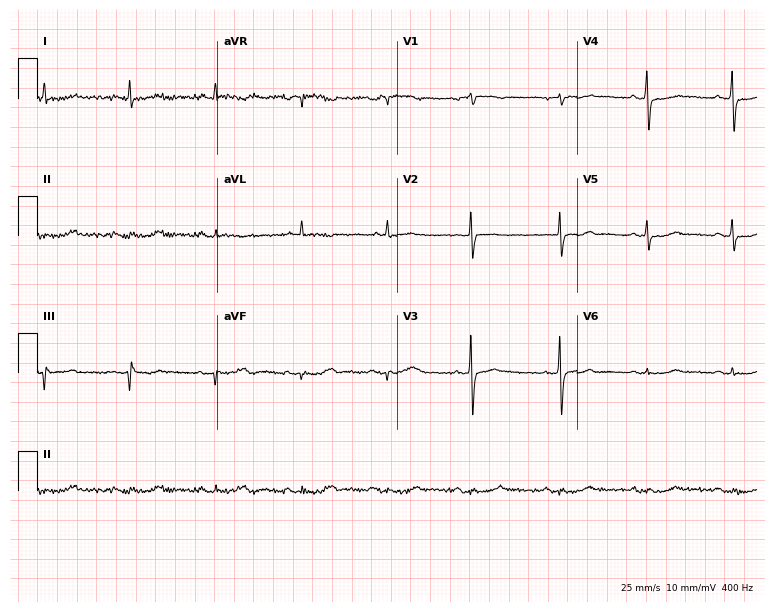
ECG — a female, 78 years old. Screened for six findings — first-degree AV block, right bundle branch block, left bundle branch block, sinus bradycardia, atrial fibrillation, sinus tachycardia — none is recorded. Other findings, if any, are not listed.